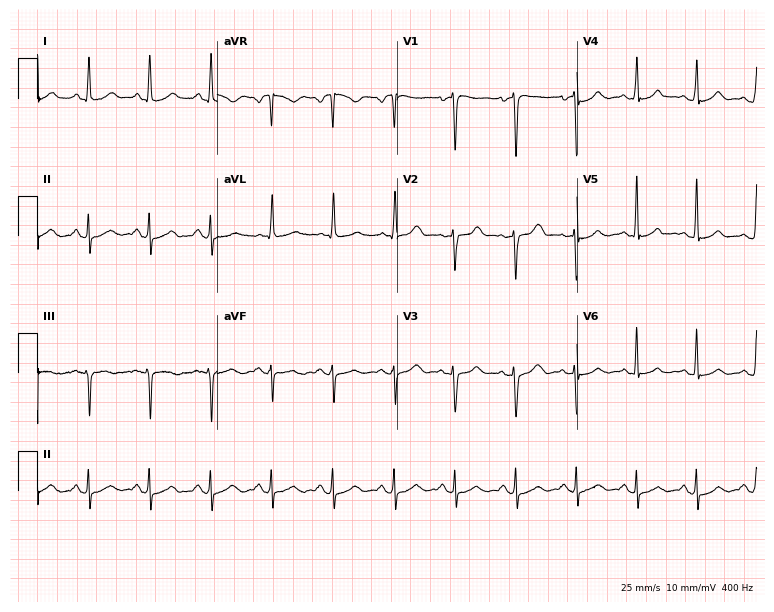
Standard 12-lead ECG recorded from a 48-year-old female patient. Read as a normal ECG.